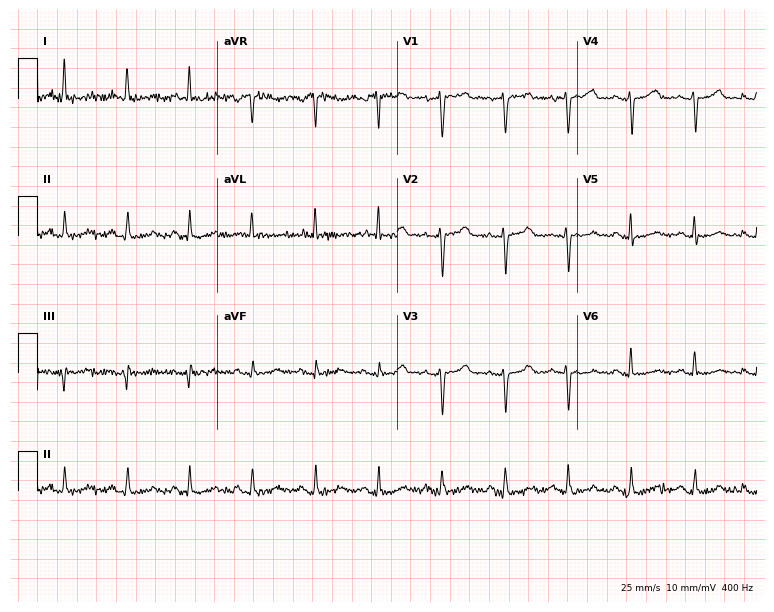
12-lead ECG from a 59-year-old woman. Recorded interpretation: within normal limits.